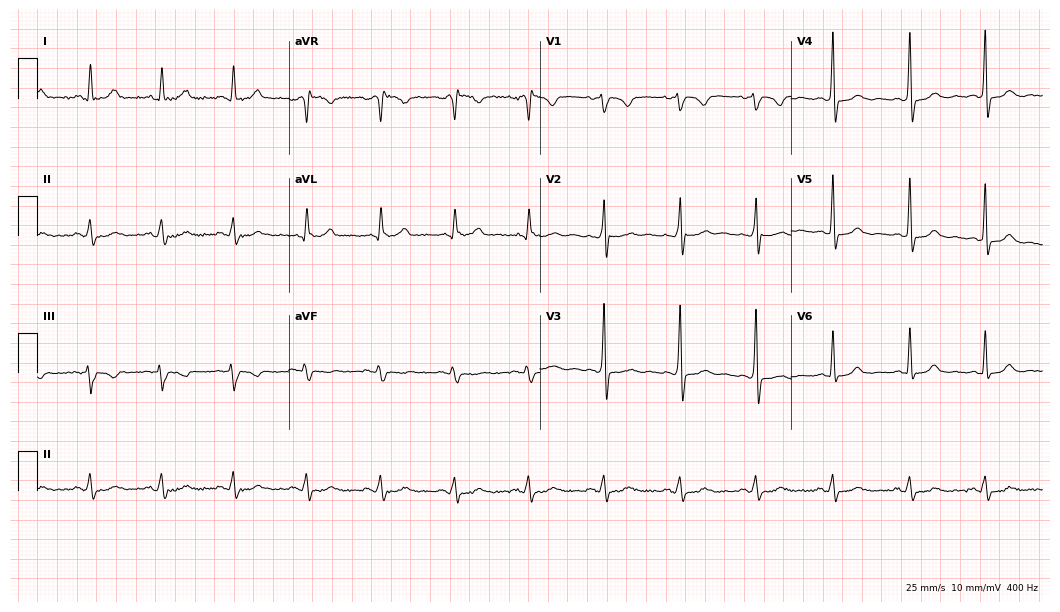
ECG — a 46-year-old female. Screened for six findings — first-degree AV block, right bundle branch block, left bundle branch block, sinus bradycardia, atrial fibrillation, sinus tachycardia — none is recorded. Findings outside these six are not listed.